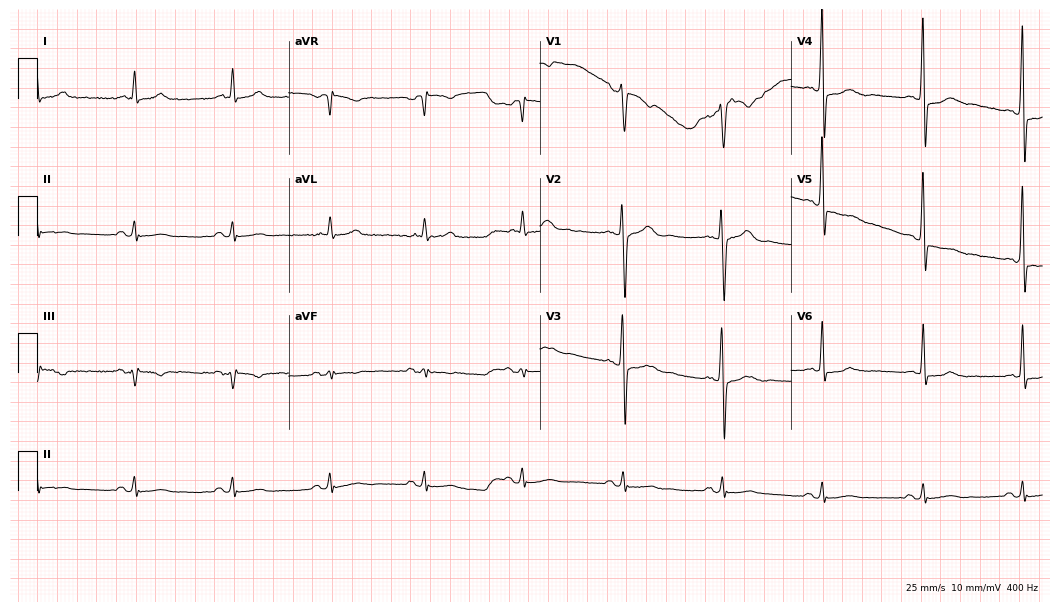
Electrocardiogram (10.2-second recording at 400 Hz), a 58-year-old man. Of the six screened findings (first-degree AV block, right bundle branch block (RBBB), left bundle branch block (LBBB), sinus bradycardia, atrial fibrillation (AF), sinus tachycardia), none is recorded. Findings outside these six are not listed.